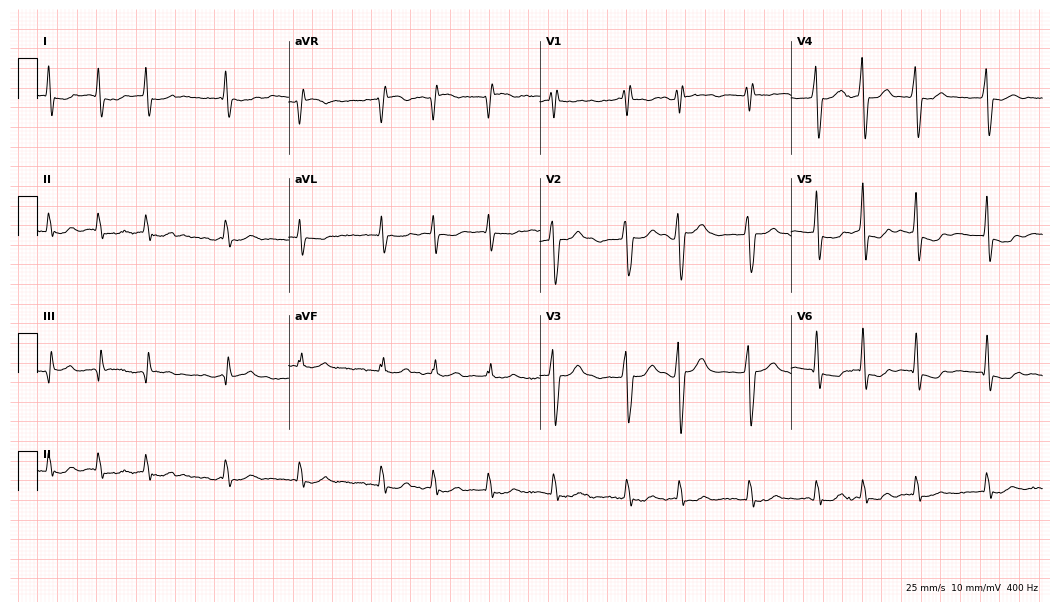
ECG — a 73-year-old woman. Findings include atrial fibrillation.